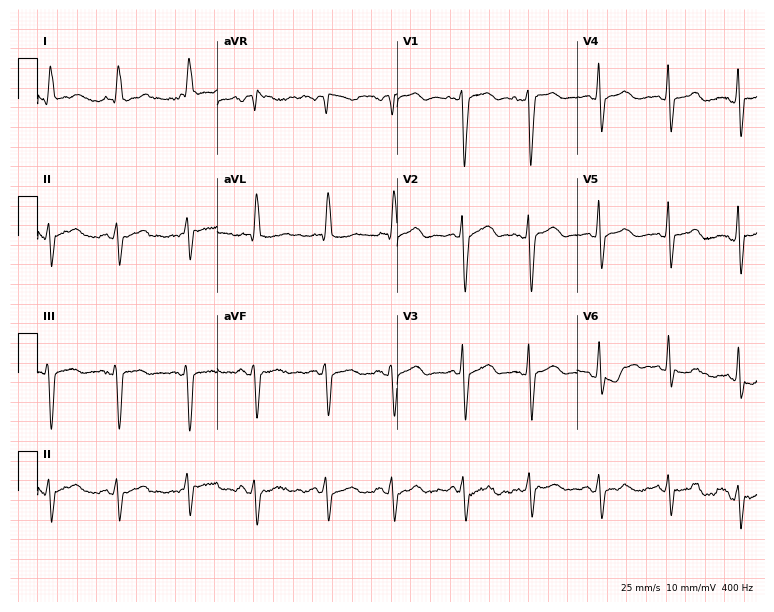
Electrocardiogram, an 84-year-old female patient. Of the six screened findings (first-degree AV block, right bundle branch block, left bundle branch block, sinus bradycardia, atrial fibrillation, sinus tachycardia), none is recorded.